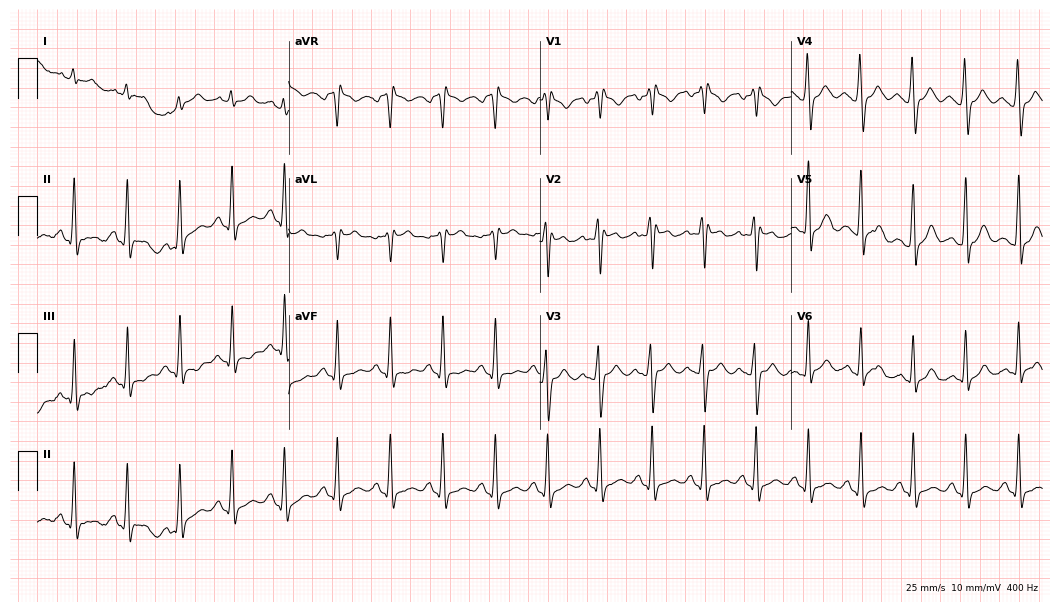
Resting 12-lead electrocardiogram (10.2-second recording at 400 Hz). Patient: a male, 21 years old. None of these six findings is recorded: first-degree AV block, right bundle branch block (RBBB), left bundle branch block (LBBB), sinus bradycardia, atrial fibrillation (AF), sinus tachycardia.